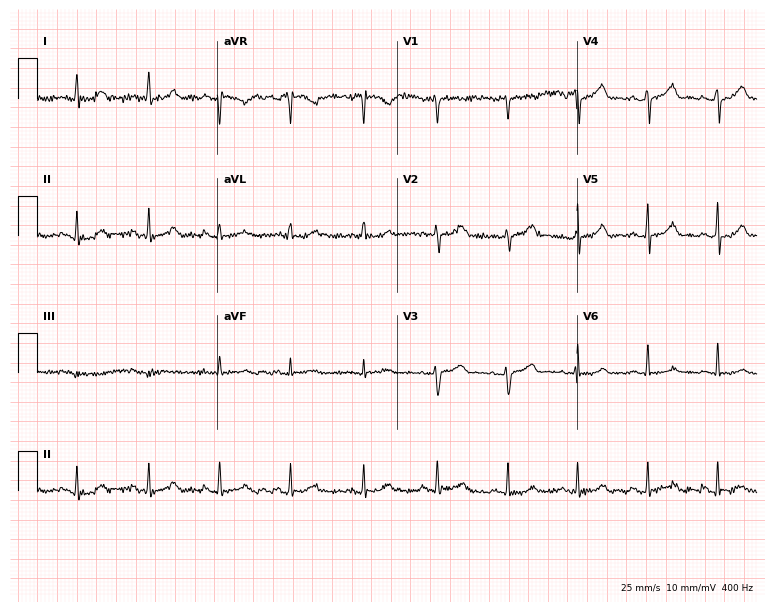
Standard 12-lead ECG recorded from a female, 56 years old. Read as a normal ECG.